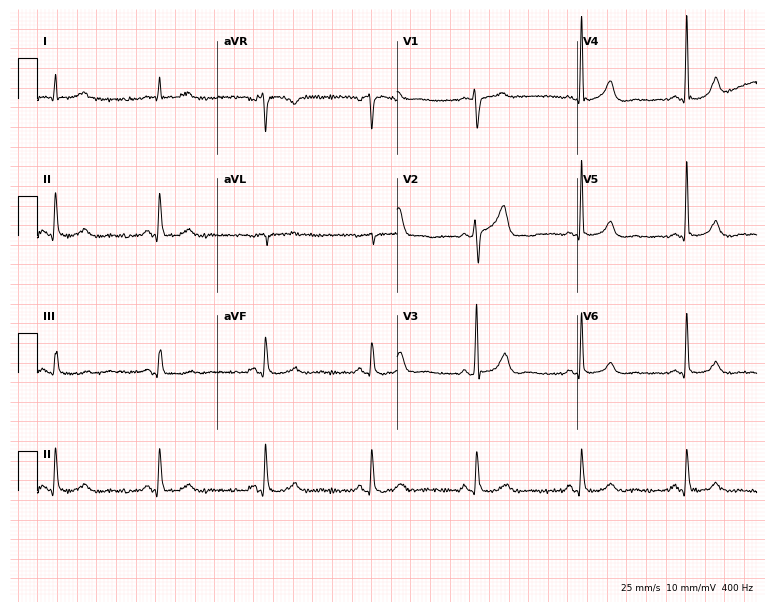
Resting 12-lead electrocardiogram (7.3-second recording at 400 Hz). Patient: a 72-year-old man. Read as a normal ECG.